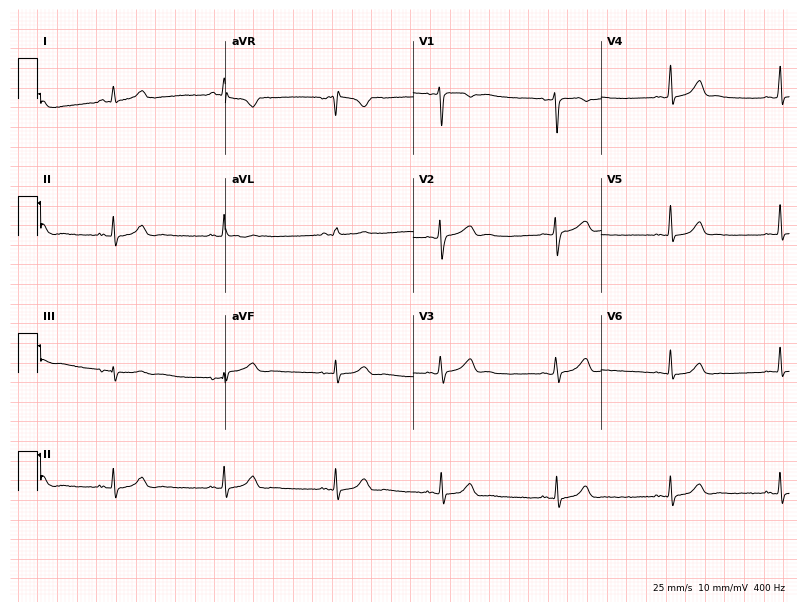
Resting 12-lead electrocardiogram (7.7-second recording at 400 Hz). Patient: a woman, 22 years old. Read as a normal ECG.